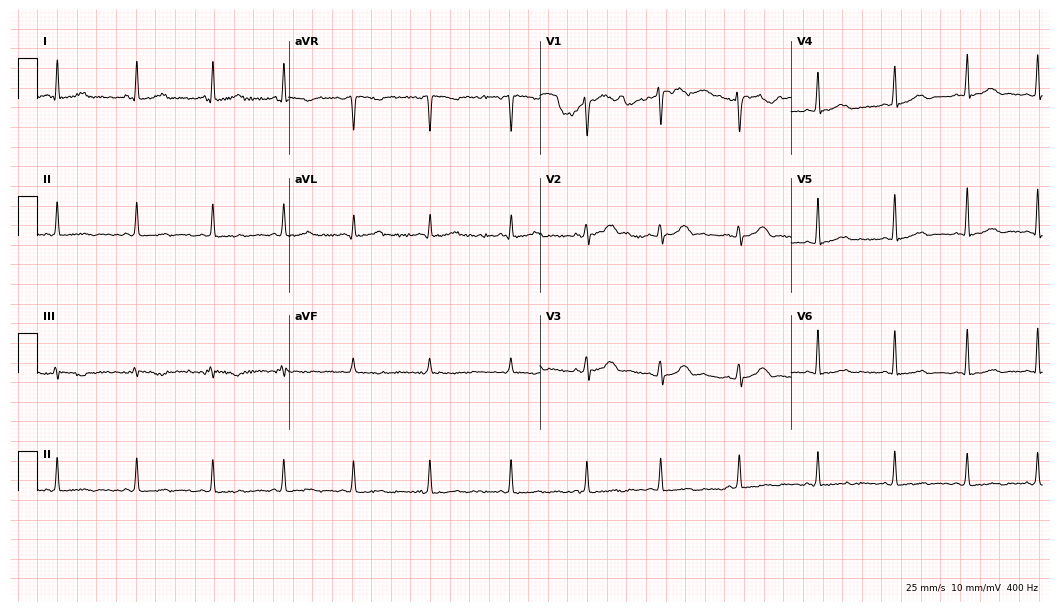
Standard 12-lead ECG recorded from a 38-year-old female (10.2-second recording at 400 Hz). None of these six findings is recorded: first-degree AV block, right bundle branch block (RBBB), left bundle branch block (LBBB), sinus bradycardia, atrial fibrillation (AF), sinus tachycardia. Findings outside these six are not listed.